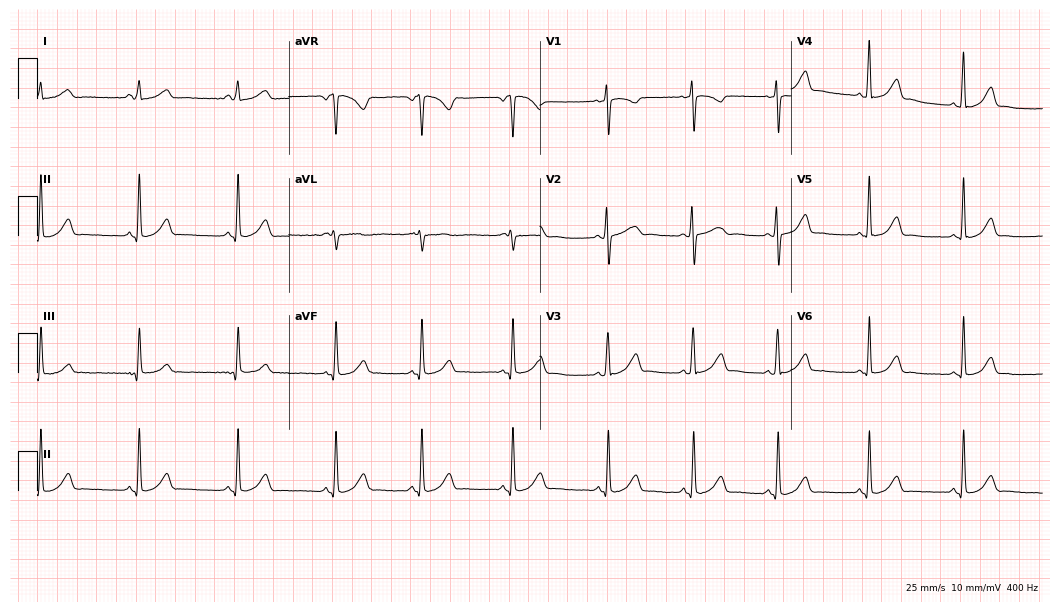
12-lead ECG (10.2-second recording at 400 Hz) from a 19-year-old woman. Labelled as a normal ECG.